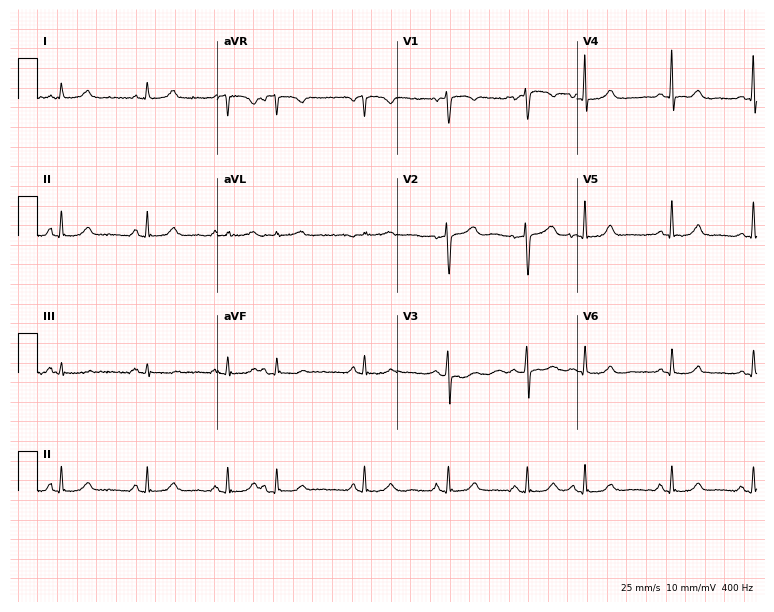
ECG — a female, 55 years old. Labelled as a normal ECG.